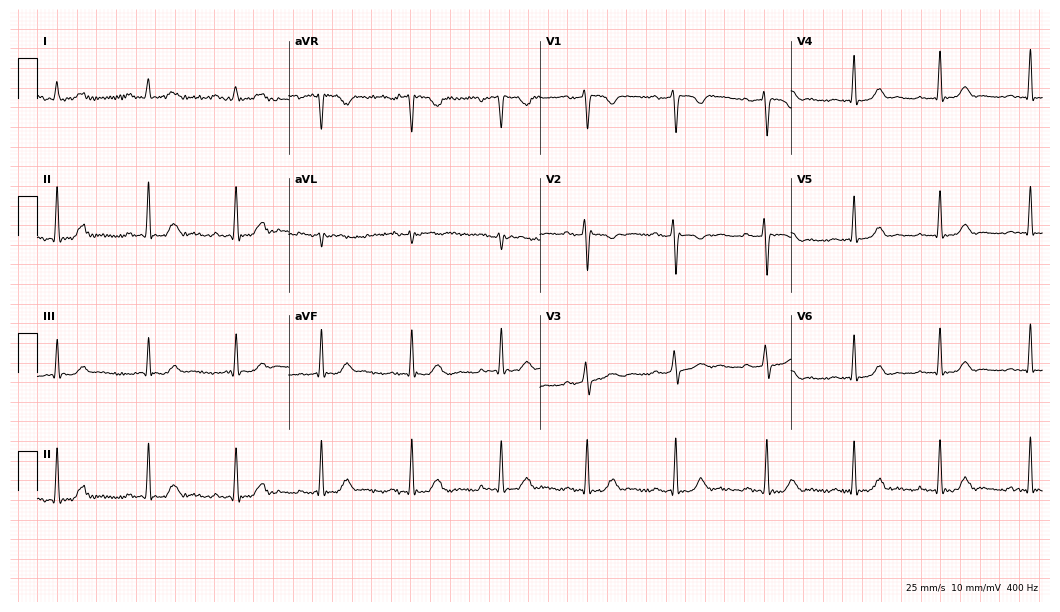
ECG — a 28-year-old woman. Screened for six findings — first-degree AV block, right bundle branch block, left bundle branch block, sinus bradycardia, atrial fibrillation, sinus tachycardia — none is recorded. Only these six findings were labelled.